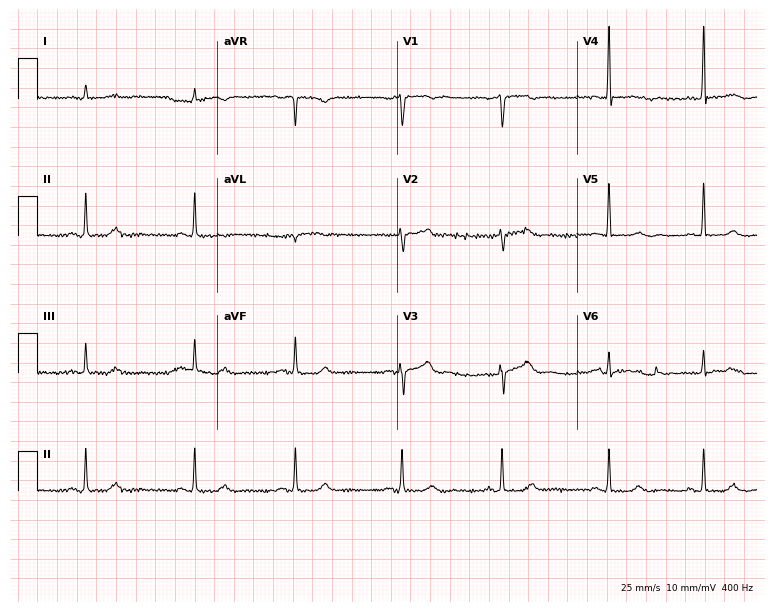
Electrocardiogram, a 40-year-old female. Of the six screened findings (first-degree AV block, right bundle branch block (RBBB), left bundle branch block (LBBB), sinus bradycardia, atrial fibrillation (AF), sinus tachycardia), none is recorded. Findings outside these six are not listed.